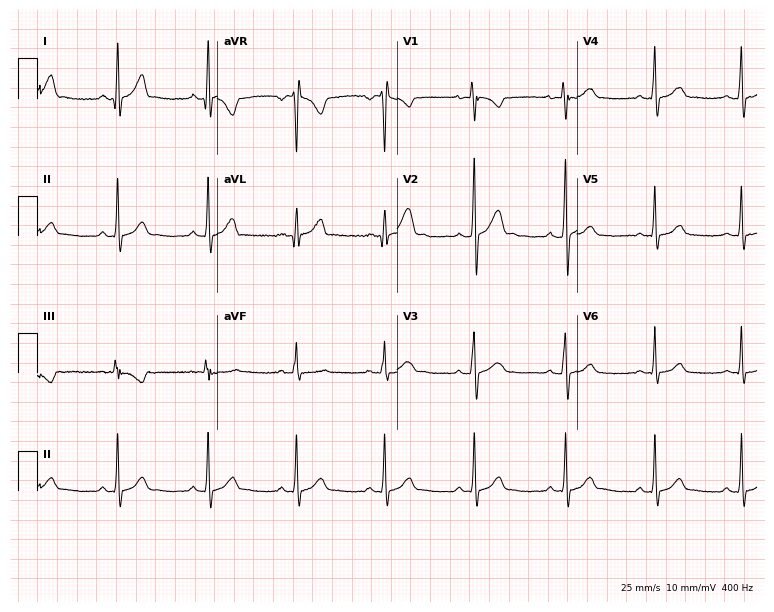
Resting 12-lead electrocardiogram (7.3-second recording at 400 Hz). Patient: a 25-year-old male. Read as a normal ECG.